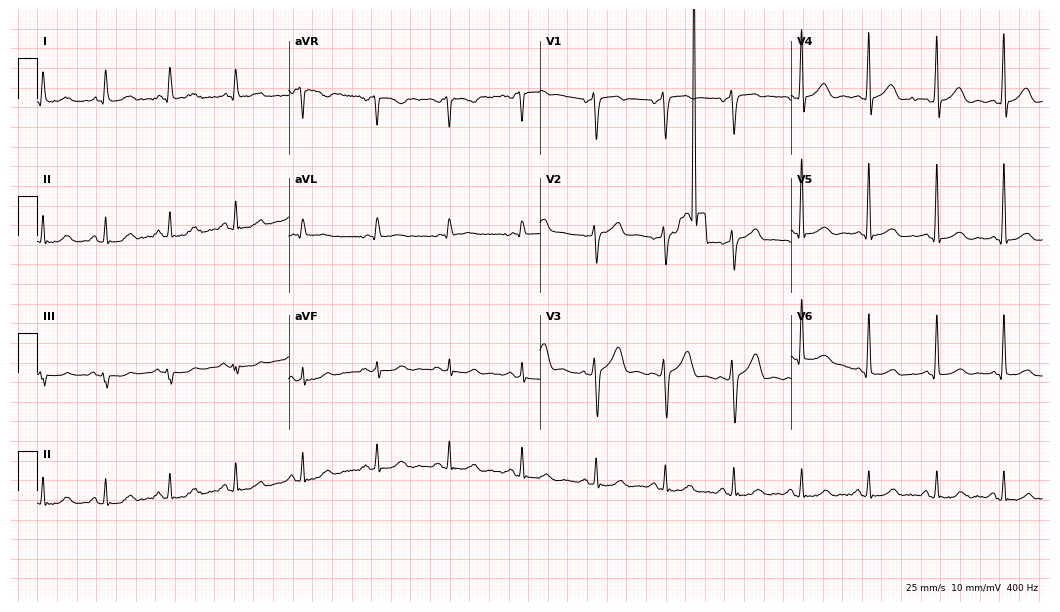
Standard 12-lead ECG recorded from a 59-year-old man. Read as a normal ECG.